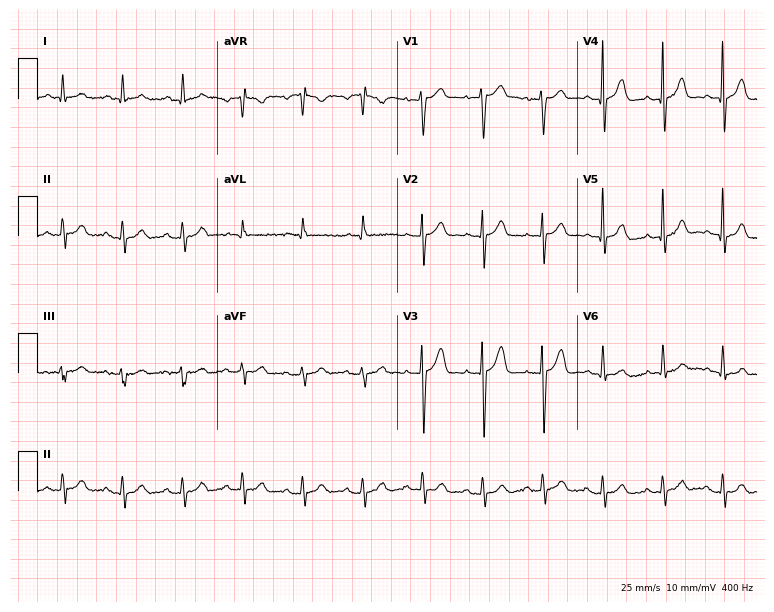
12-lead ECG (7.3-second recording at 400 Hz) from a 60-year-old man. Labelled as a normal ECG.